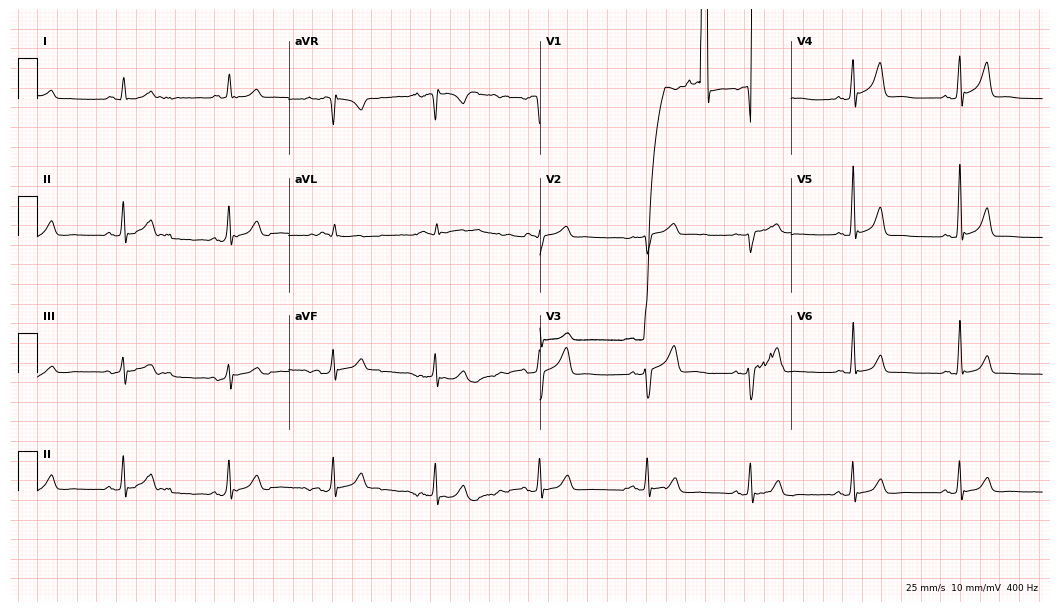
12-lead ECG from a 56-year-old man (10.2-second recording at 400 Hz). No first-degree AV block, right bundle branch block, left bundle branch block, sinus bradycardia, atrial fibrillation or sinus tachycardia recorded for this tracing.